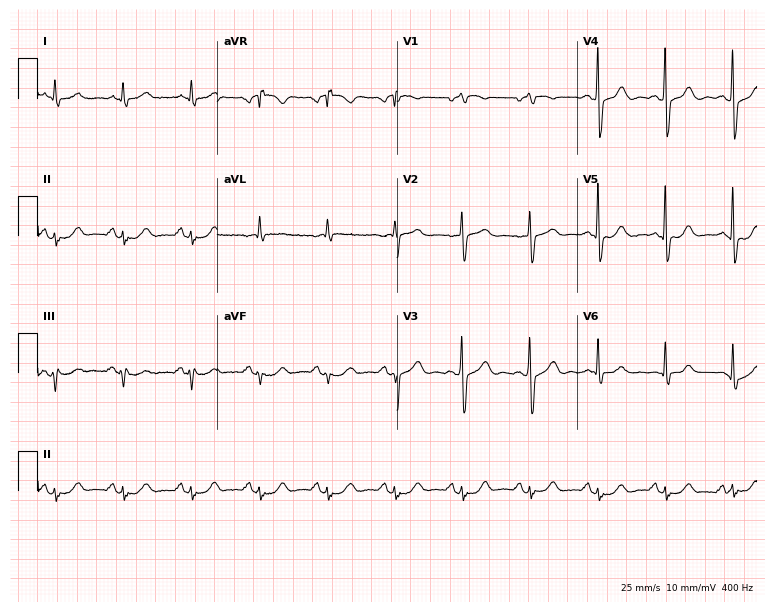
12-lead ECG from a male, 80 years old (7.3-second recording at 400 Hz). No first-degree AV block, right bundle branch block (RBBB), left bundle branch block (LBBB), sinus bradycardia, atrial fibrillation (AF) or sinus tachycardia recorded for this tracing.